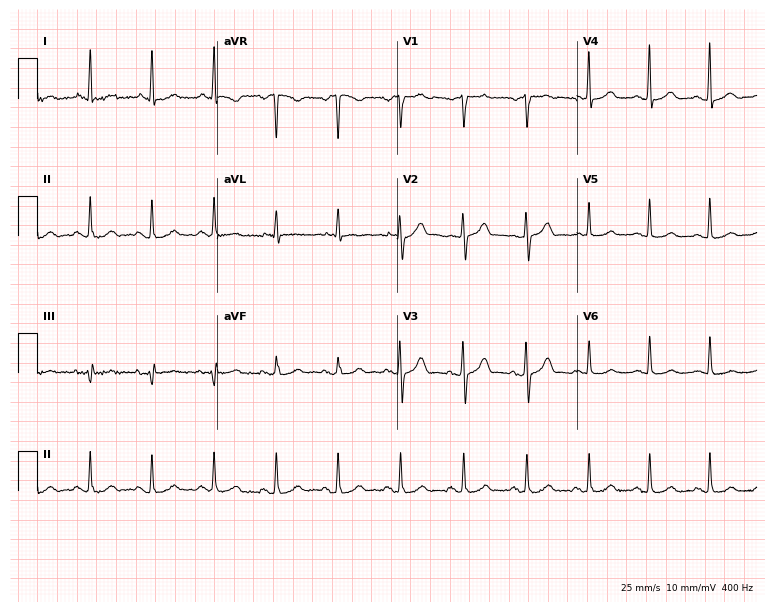
Electrocardiogram, an 83-year-old female patient. Overall reading on record: normal ECG.